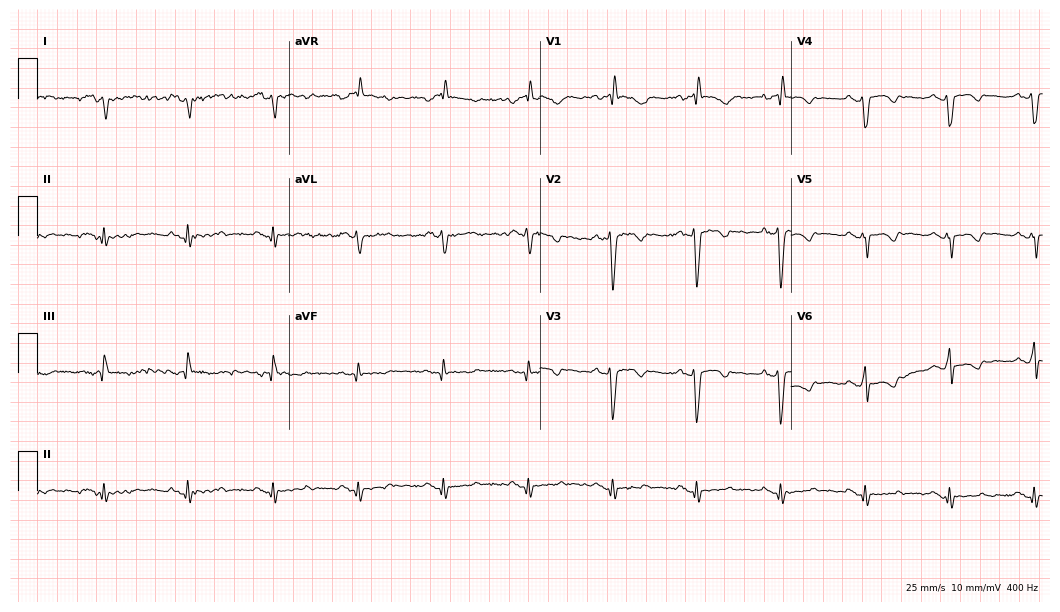
12-lead ECG from a 46-year-old female patient (10.2-second recording at 400 Hz). No first-degree AV block, right bundle branch block (RBBB), left bundle branch block (LBBB), sinus bradycardia, atrial fibrillation (AF) or sinus tachycardia recorded for this tracing. Other findings, if any, are not listed.